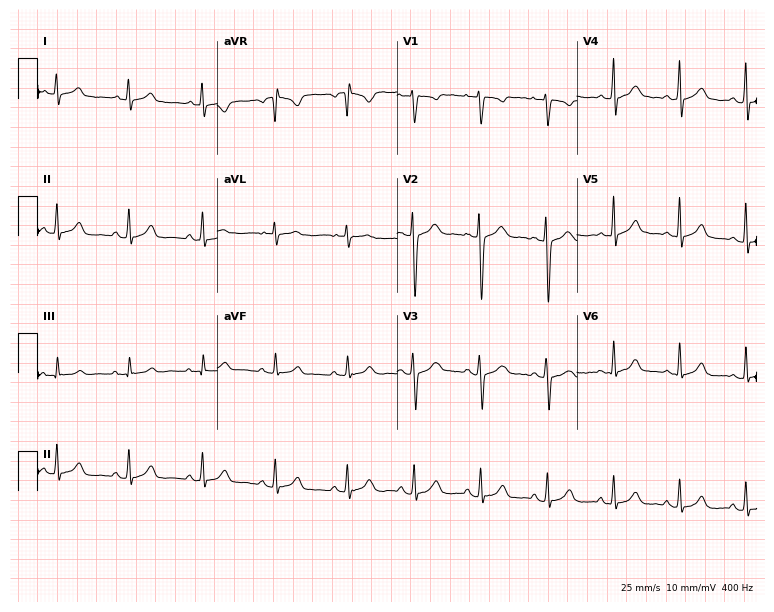
Resting 12-lead electrocardiogram. Patient: a woman, 22 years old. None of these six findings is recorded: first-degree AV block, right bundle branch block, left bundle branch block, sinus bradycardia, atrial fibrillation, sinus tachycardia. Other findings, if any, are not listed.